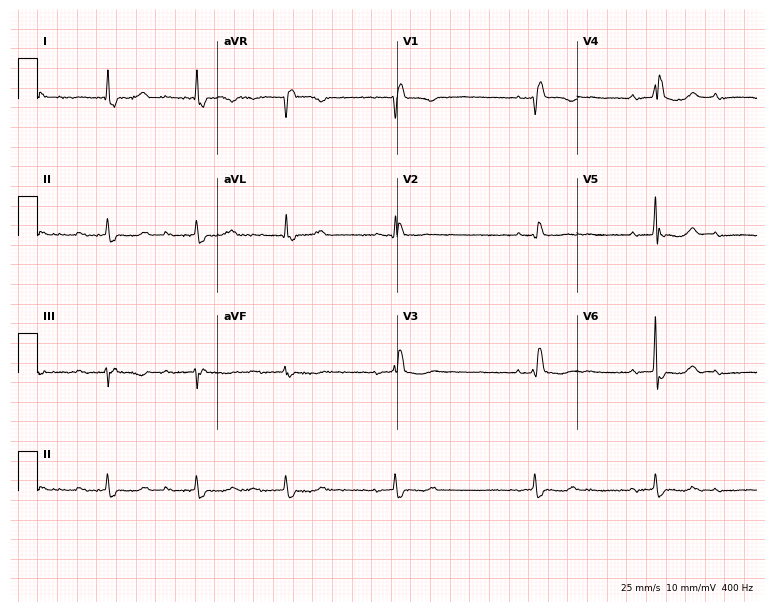
Standard 12-lead ECG recorded from a female patient, 77 years old. None of these six findings is recorded: first-degree AV block, right bundle branch block, left bundle branch block, sinus bradycardia, atrial fibrillation, sinus tachycardia. Only these six findings were labelled.